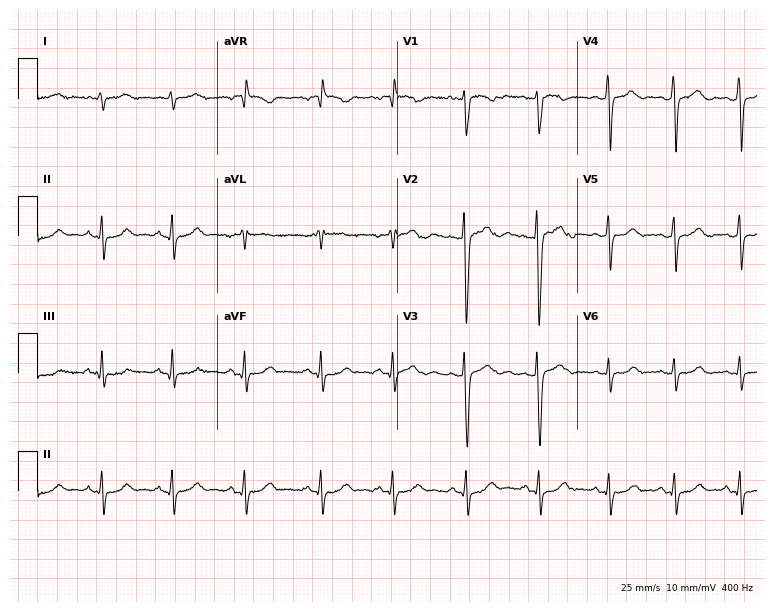
Resting 12-lead electrocardiogram (7.3-second recording at 400 Hz). Patient: a female, 37 years old. None of these six findings is recorded: first-degree AV block, right bundle branch block, left bundle branch block, sinus bradycardia, atrial fibrillation, sinus tachycardia.